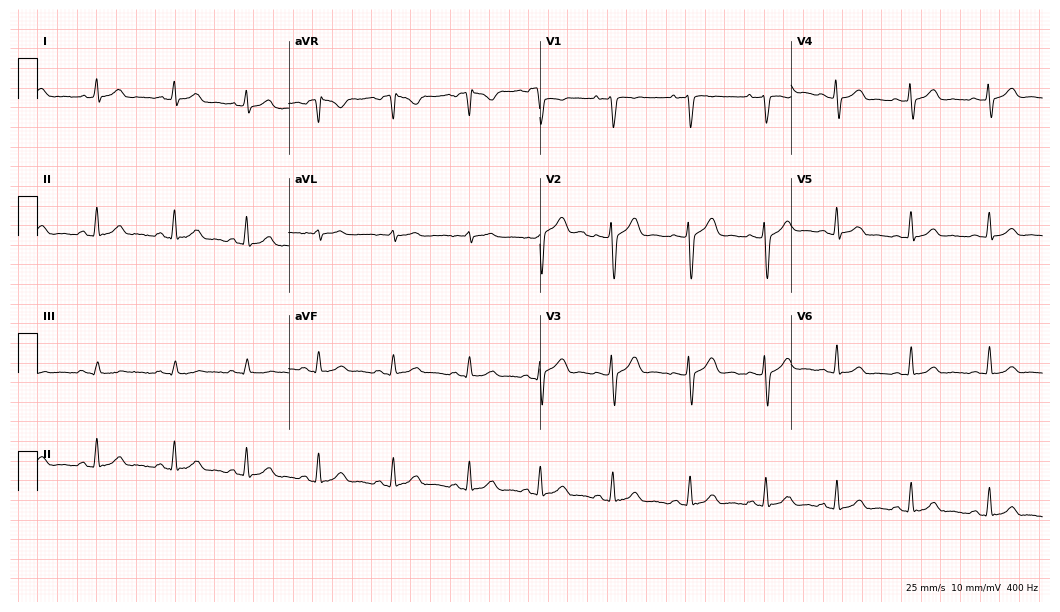
Resting 12-lead electrocardiogram (10.2-second recording at 400 Hz). Patient: a female, 25 years old. Read as a normal ECG.